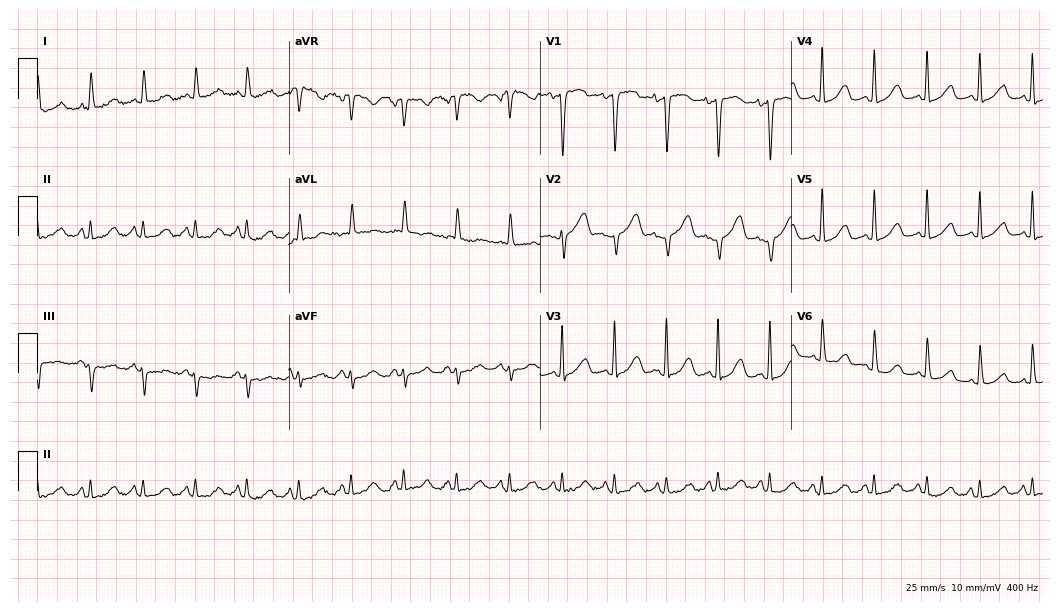
Electrocardiogram, a 73-year-old woman. Of the six screened findings (first-degree AV block, right bundle branch block (RBBB), left bundle branch block (LBBB), sinus bradycardia, atrial fibrillation (AF), sinus tachycardia), none is recorded. Only these six findings were labelled.